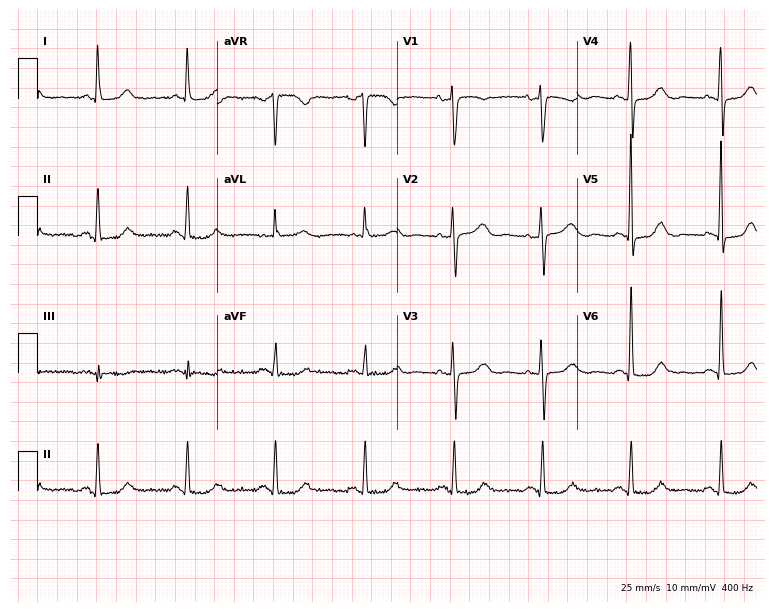
ECG — a 58-year-old female. Labelled as a normal ECG.